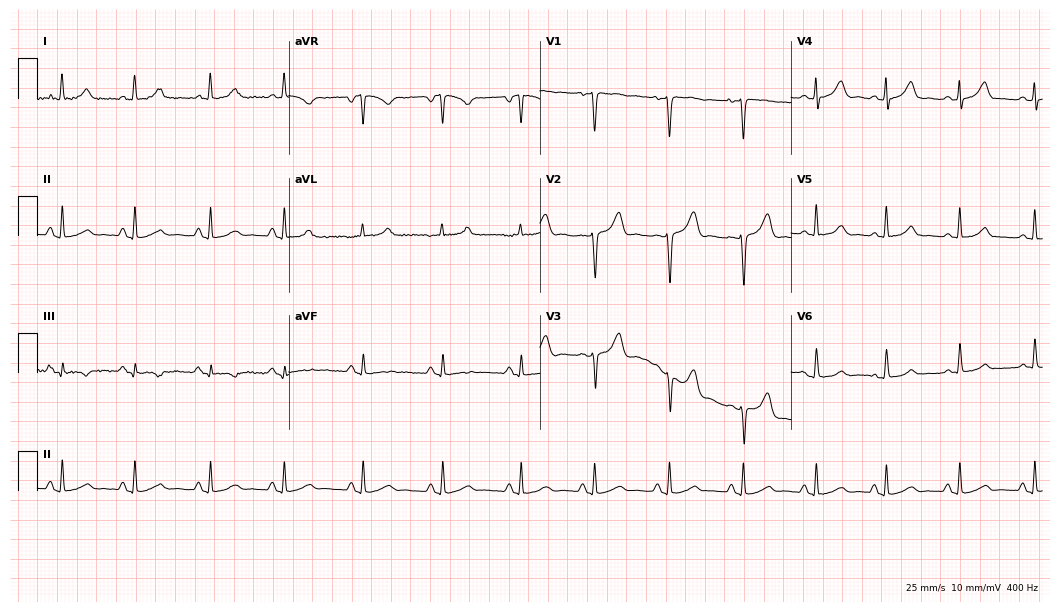
Standard 12-lead ECG recorded from a female, 28 years old (10.2-second recording at 400 Hz). None of these six findings is recorded: first-degree AV block, right bundle branch block, left bundle branch block, sinus bradycardia, atrial fibrillation, sinus tachycardia. Findings outside these six are not listed.